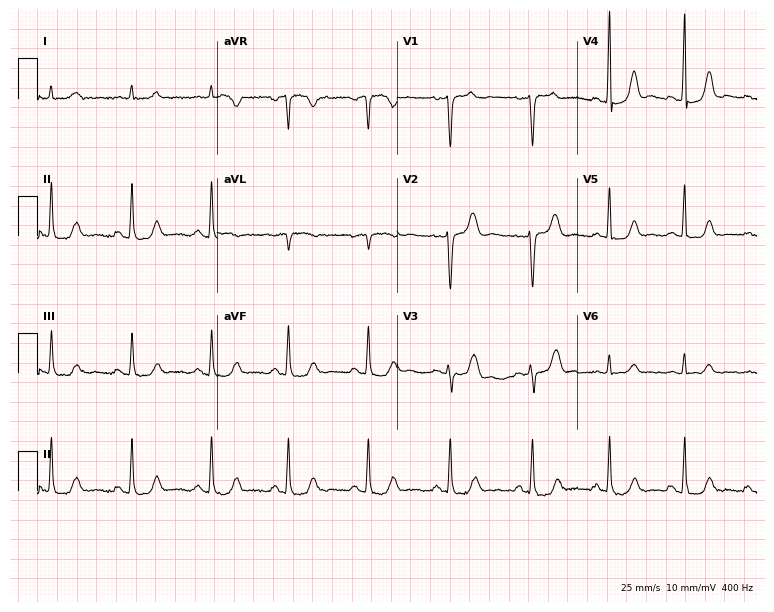
Resting 12-lead electrocardiogram. Patient: a 47-year-old woman. None of these six findings is recorded: first-degree AV block, right bundle branch block, left bundle branch block, sinus bradycardia, atrial fibrillation, sinus tachycardia.